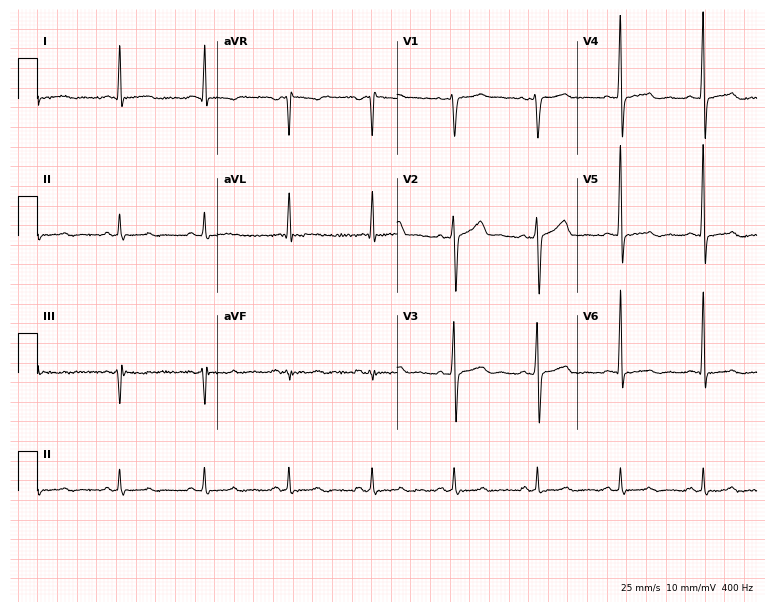
Resting 12-lead electrocardiogram. Patient: a male, 55 years old. None of these six findings is recorded: first-degree AV block, right bundle branch block, left bundle branch block, sinus bradycardia, atrial fibrillation, sinus tachycardia. Only these six findings were labelled.